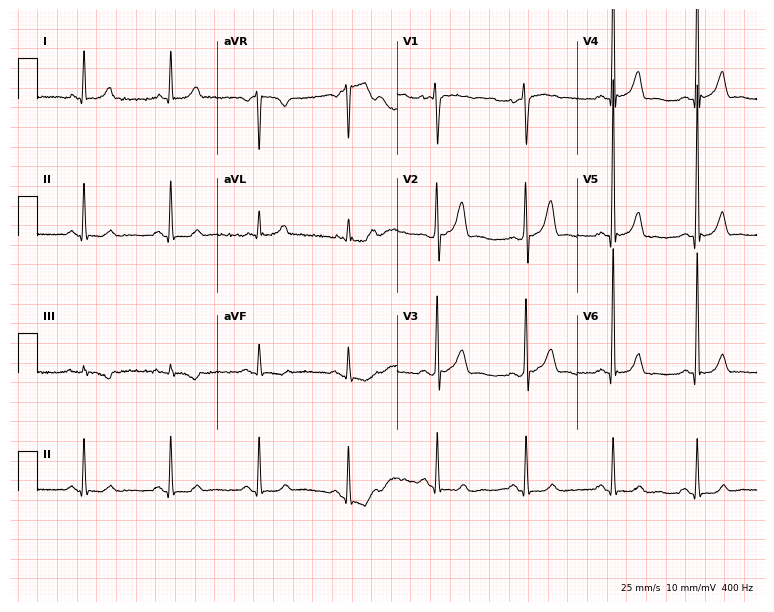
Standard 12-lead ECG recorded from a 48-year-old male (7.3-second recording at 400 Hz). None of these six findings is recorded: first-degree AV block, right bundle branch block, left bundle branch block, sinus bradycardia, atrial fibrillation, sinus tachycardia. Other findings, if any, are not listed.